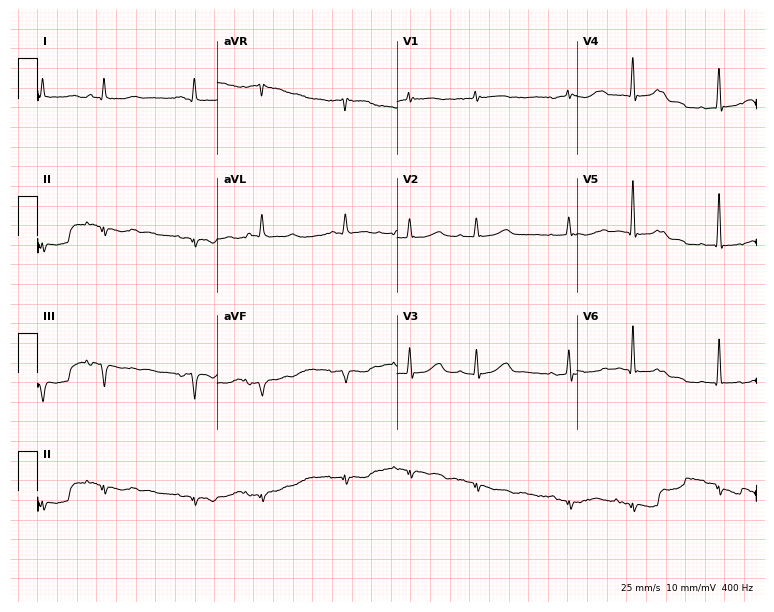
12-lead ECG from an 84-year-old female patient (7.3-second recording at 400 Hz). No first-degree AV block, right bundle branch block (RBBB), left bundle branch block (LBBB), sinus bradycardia, atrial fibrillation (AF) or sinus tachycardia recorded for this tracing.